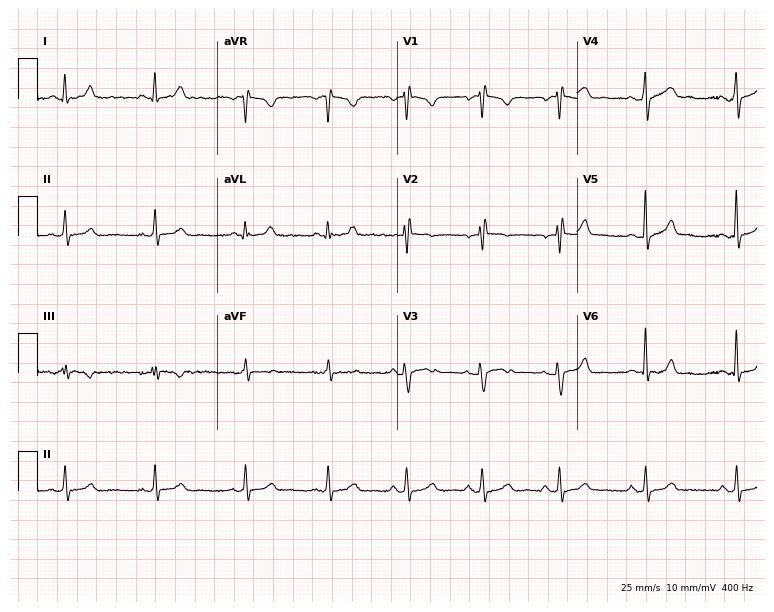
ECG (7.3-second recording at 400 Hz) — a female, 43 years old. Screened for six findings — first-degree AV block, right bundle branch block (RBBB), left bundle branch block (LBBB), sinus bradycardia, atrial fibrillation (AF), sinus tachycardia — none is recorded. Findings outside these six are not listed.